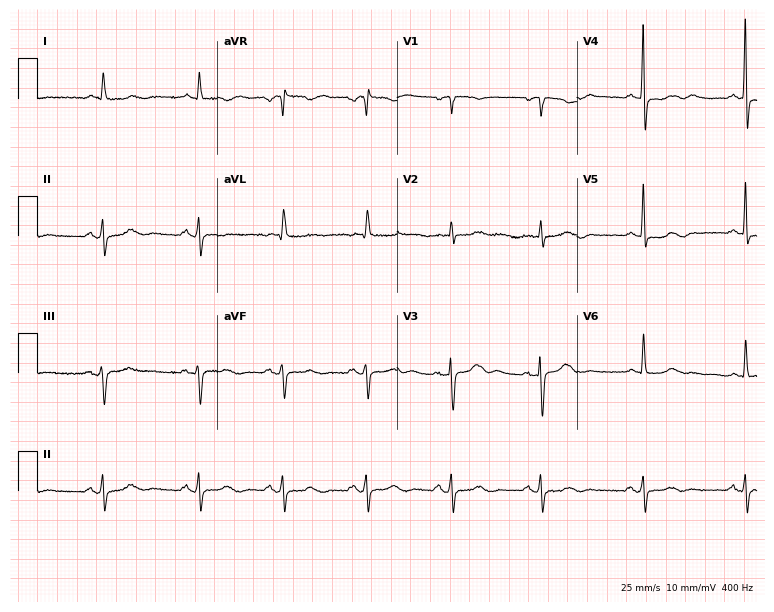
Electrocardiogram (7.3-second recording at 400 Hz), an 80-year-old female. Of the six screened findings (first-degree AV block, right bundle branch block, left bundle branch block, sinus bradycardia, atrial fibrillation, sinus tachycardia), none is recorded.